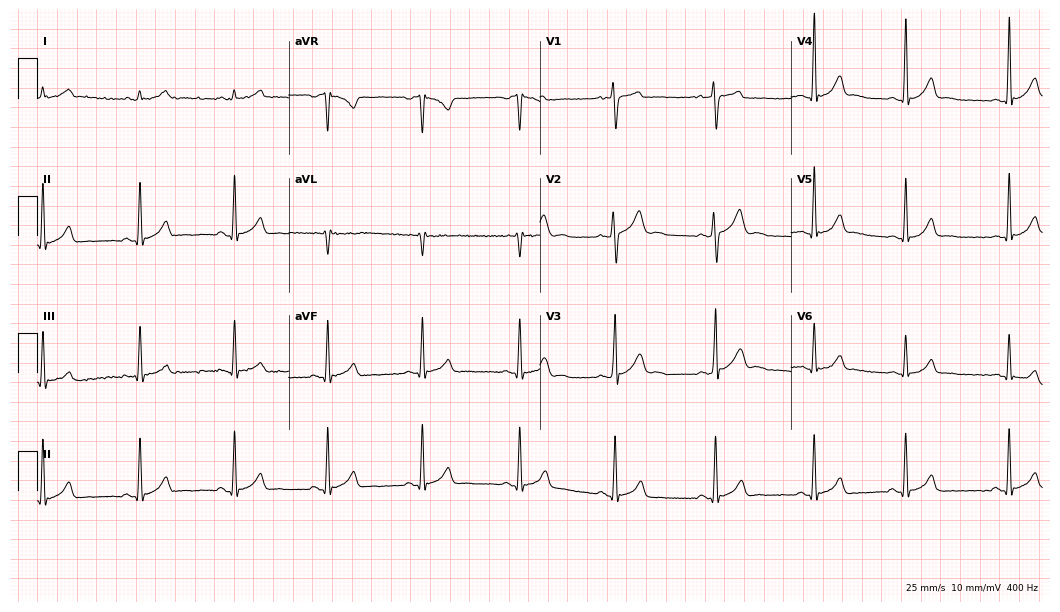
Electrocardiogram (10.2-second recording at 400 Hz), a male, 18 years old. Overall reading on record: normal ECG.